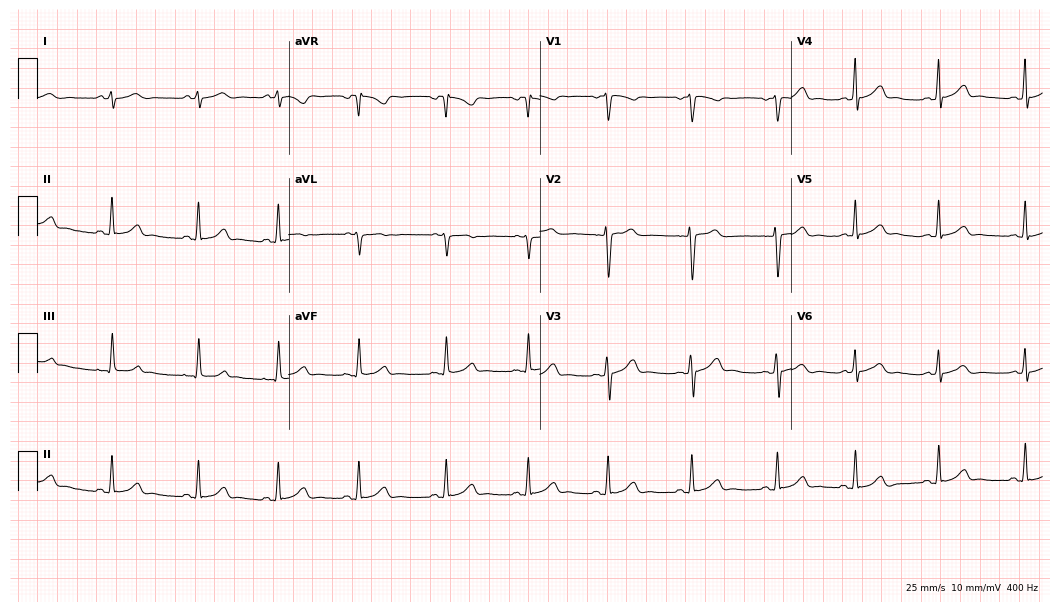
Standard 12-lead ECG recorded from a 23-year-old woman (10.2-second recording at 400 Hz). None of these six findings is recorded: first-degree AV block, right bundle branch block, left bundle branch block, sinus bradycardia, atrial fibrillation, sinus tachycardia. Only these six findings were labelled.